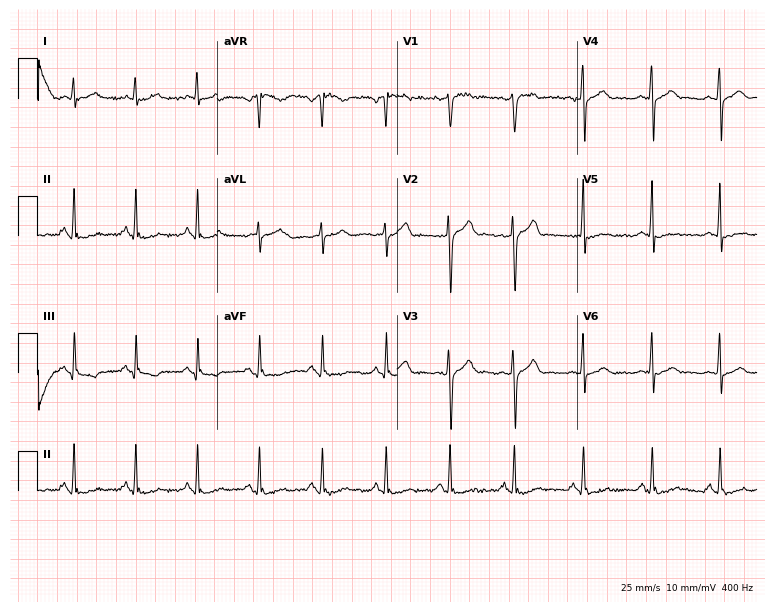
12-lead ECG from a male patient, 39 years old. Recorded interpretation: within normal limits.